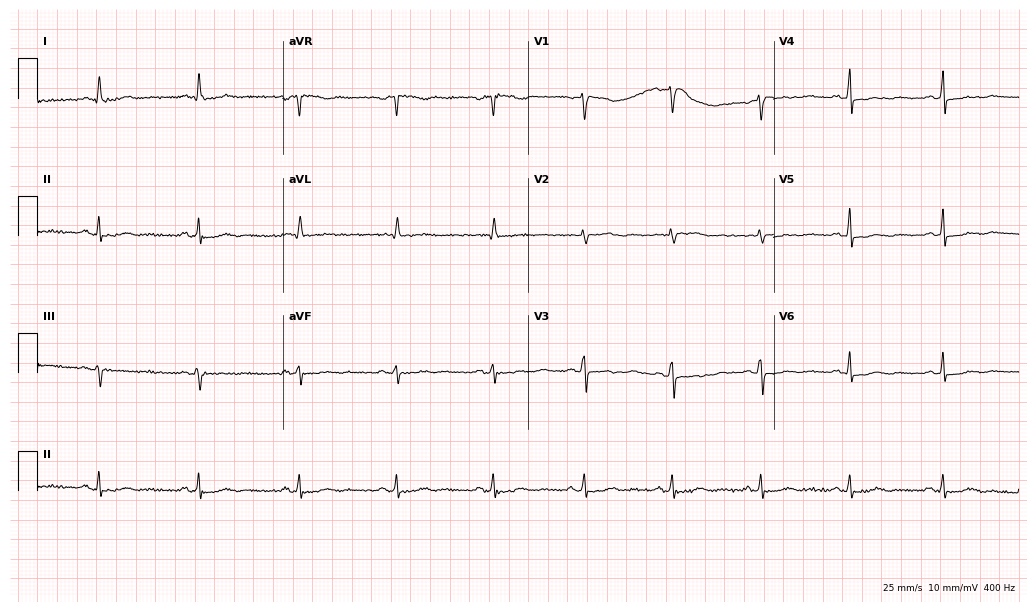
12-lead ECG from a female, 48 years old (10-second recording at 400 Hz). No first-degree AV block, right bundle branch block, left bundle branch block, sinus bradycardia, atrial fibrillation or sinus tachycardia recorded for this tracing.